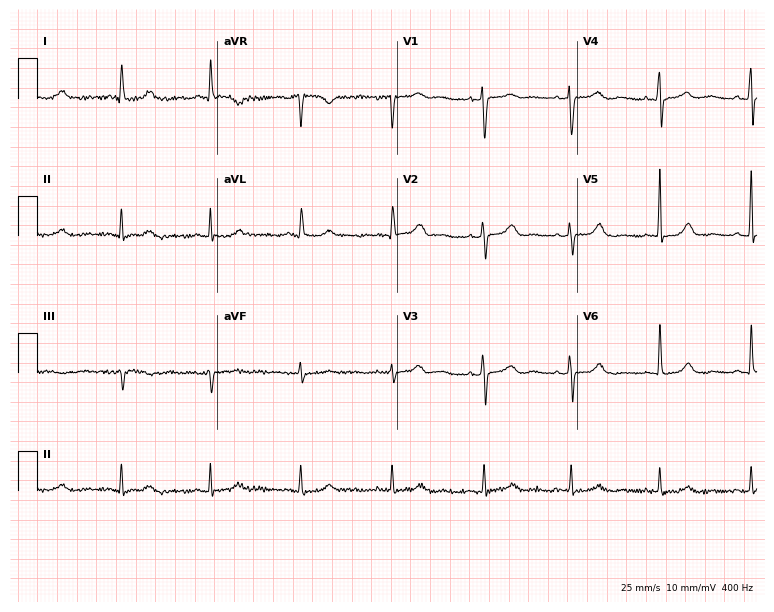
Resting 12-lead electrocardiogram. Patient: a female, 76 years old. Read as a normal ECG.